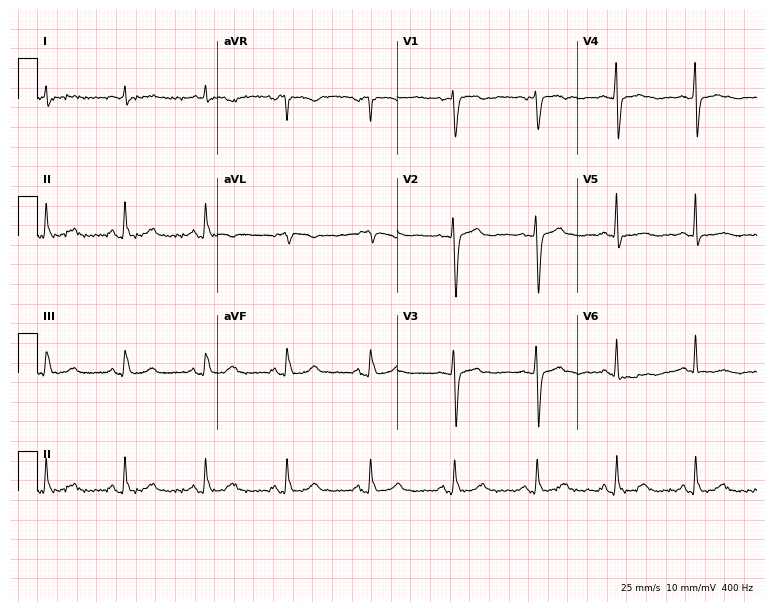
ECG (7.3-second recording at 400 Hz) — a 69-year-old female patient. Screened for six findings — first-degree AV block, right bundle branch block (RBBB), left bundle branch block (LBBB), sinus bradycardia, atrial fibrillation (AF), sinus tachycardia — none is recorded.